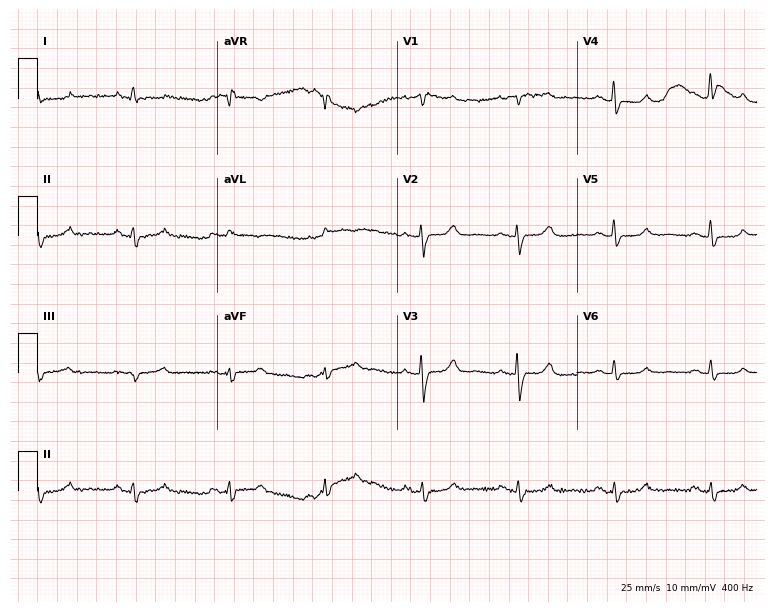
12-lead ECG from a female patient, 58 years old (7.3-second recording at 400 Hz). No first-degree AV block, right bundle branch block (RBBB), left bundle branch block (LBBB), sinus bradycardia, atrial fibrillation (AF) or sinus tachycardia recorded for this tracing.